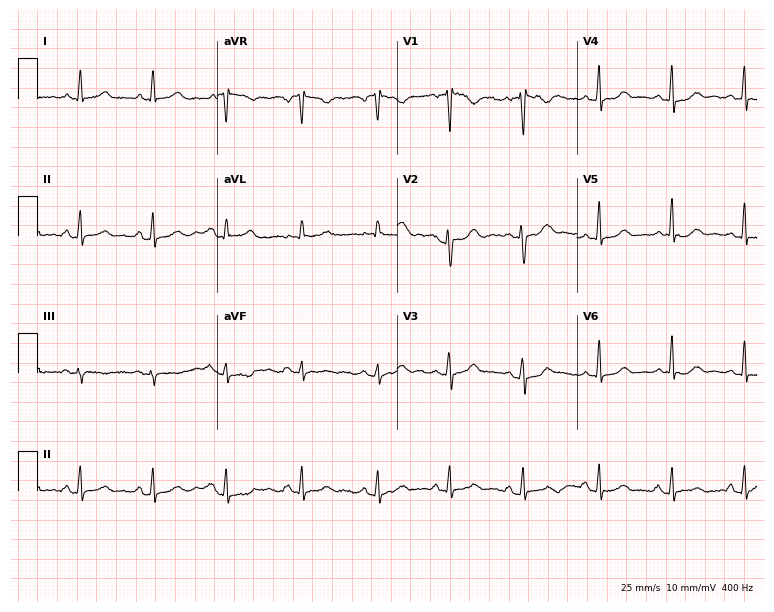
Electrocardiogram, a 45-year-old female patient. Of the six screened findings (first-degree AV block, right bundle branch block (RBBB), left bundle branch block (LBBB), sinus bradycardia, atrial fibrillation (AF), sinus tachycardia), none is recorded. Findings outside these six are not listed.